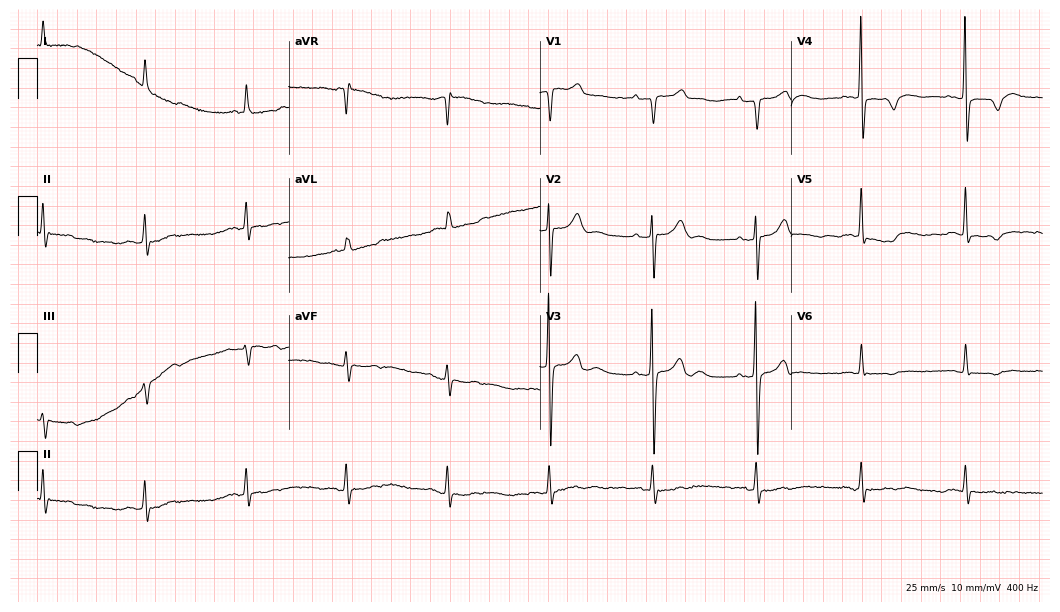
Electrocardiogram (10.2-second recording at 400 Hz), a man, 73 years old. Of the six screened findings (first-degree AV block, right bundle branch block, left bundle branch block, sinus bradycardia, atrial fibrillation, sinus tachycardia), none is recorded.